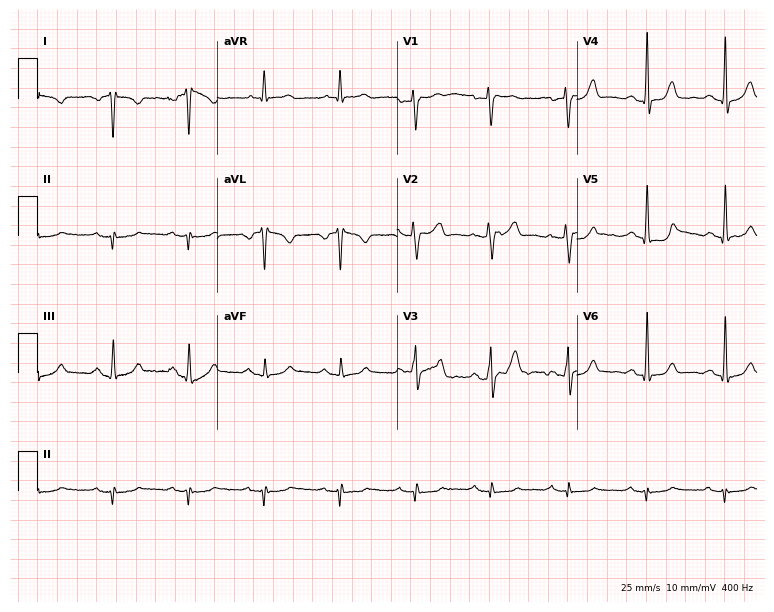
Electrocardiogram, a 56-year-old female. Of the six screened findings (first-degree AV block, right bundle branch block, left bundle branch block, sinus bradycardia, atrial fibrillation, sinus tachycardia), none is recorded.